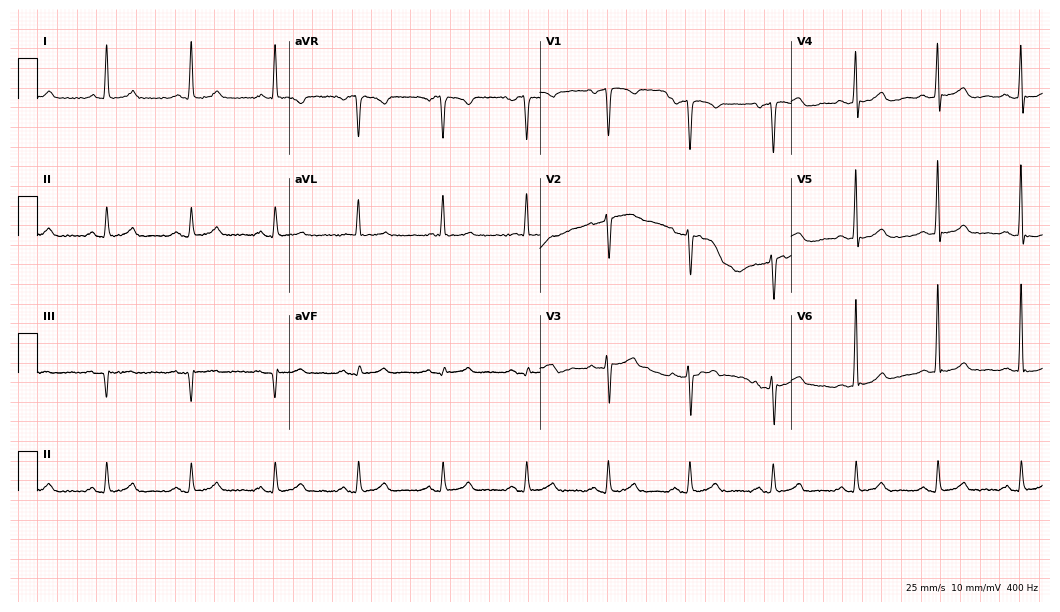
ECG — a man, 65 years old. Screened for six findings — first-degree AV block, right bundle branch block, left bundle branch block, sinus bradycardia, atrial fibrillation, sinus tachycardia — none is recorded. Other findings, if any, are not listed.